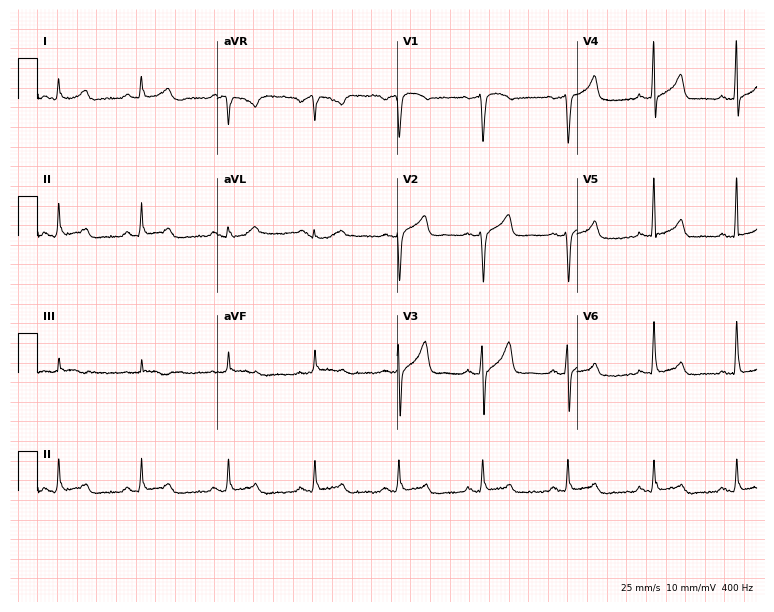
12-lead ECG from a male, 47 years old. Recorded interpretation: within normal limits.